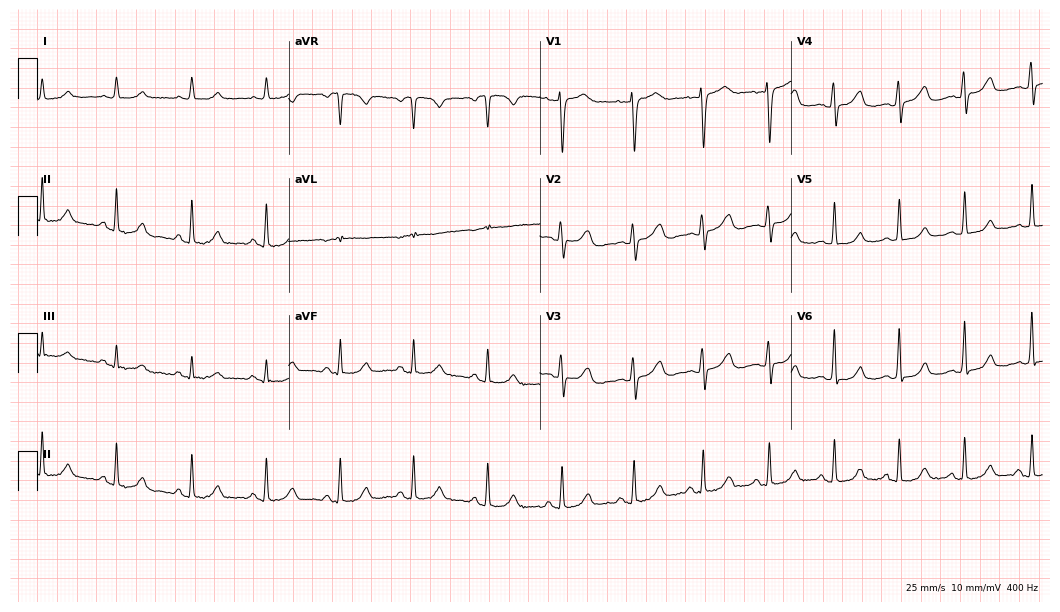
Standard 12-lead ECG recorded from a 58-year-old female patient. Read as a normal ECG.